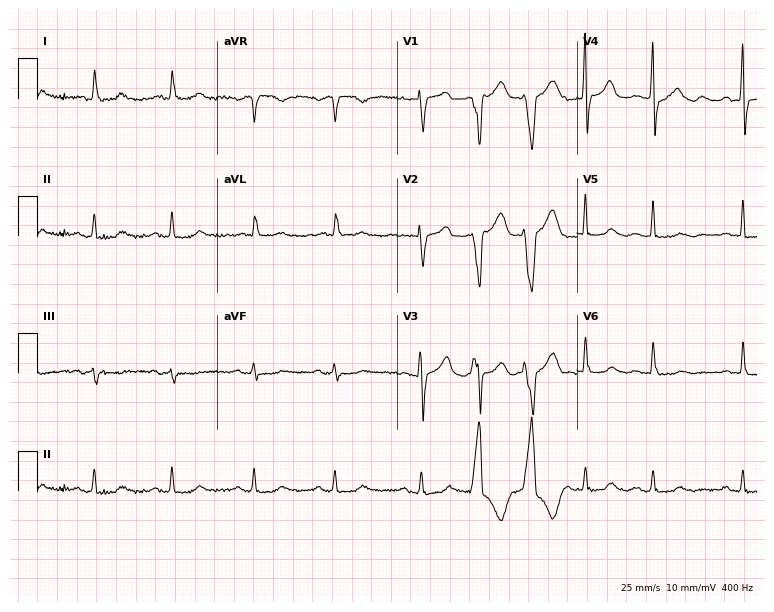
12-lead ECG from a woman, 78 years old. Recorded interpretation: within normal limits.